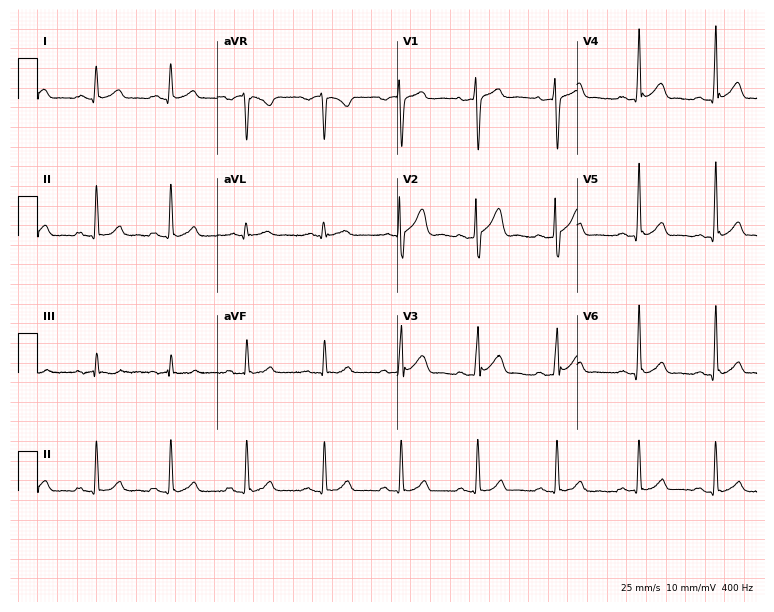
Standard 12-lead ECG recorded from a 26-year-old man (7.3-second recording at 400 Hz). Read as a normal ECG.